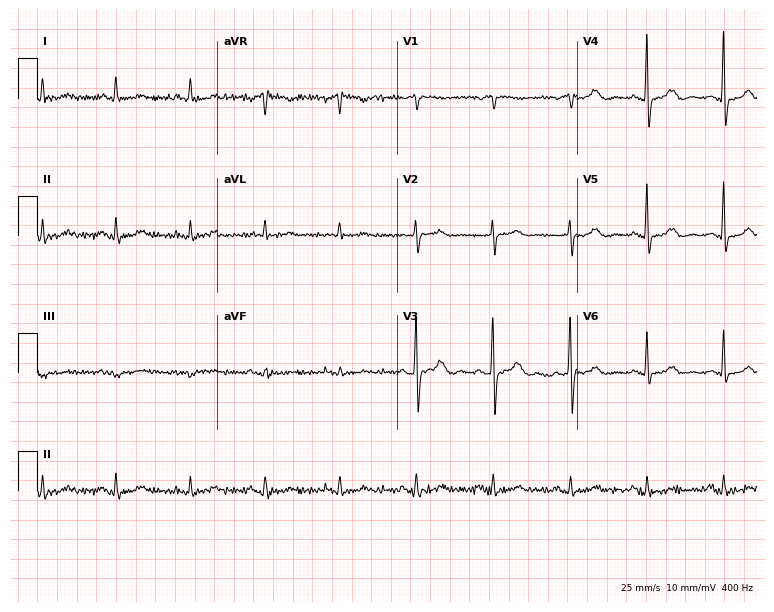
Standard 12-lead ECG recorded from a 79-year-old woman. None of these six findings is recorded: first-degree AV block, right bundle branch block (RBBB), left bundle branch block (LBBB), sinus bradycardia, atrial fibrillation (AF), sinus tachycardia. Only these six findings were labelled.